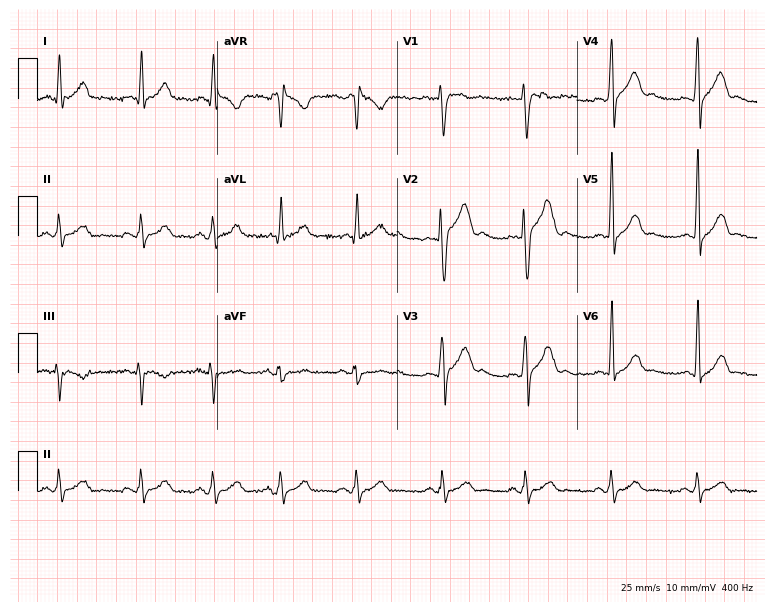
Electrocardiogram (7.3-second recording at 400 Hz), a 28-year-old male patient. Overall reading on record: normal ECG.